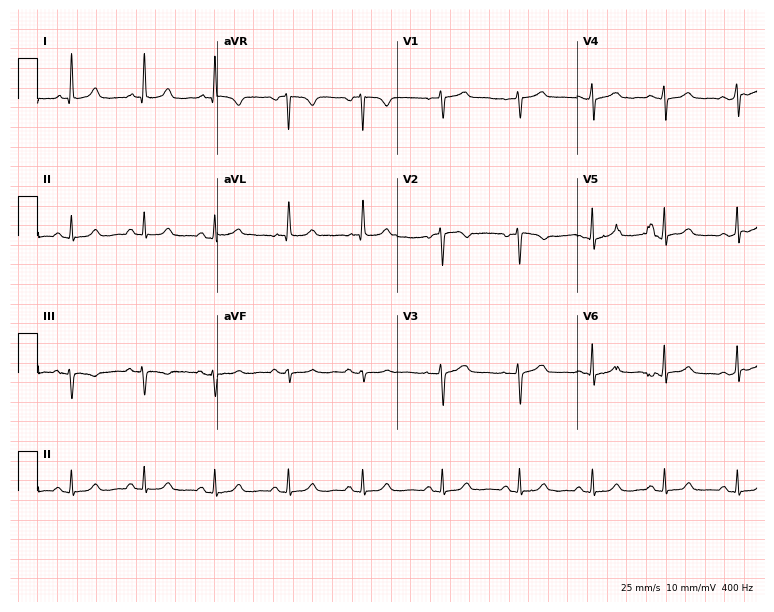
12-lead ECG from a 51-year-old female (7.3-second recording at 400 Hz). No first-degree AV block, right bundle branch block, left bundle branch block, sinus bradycardia, atrial fibrillation or sinus tachycardia recorded for this tracing.